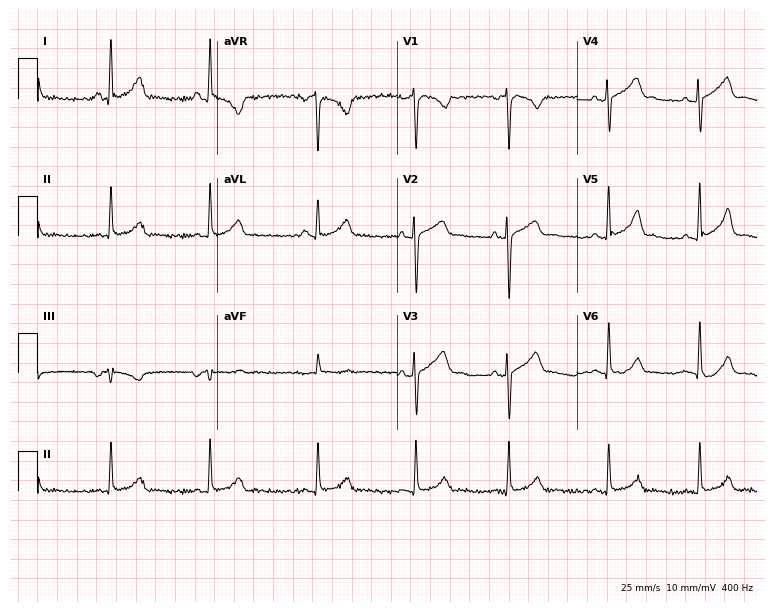
Electrocardiogram, a 26-year-old woman. Overall reading on record: normal ECG.